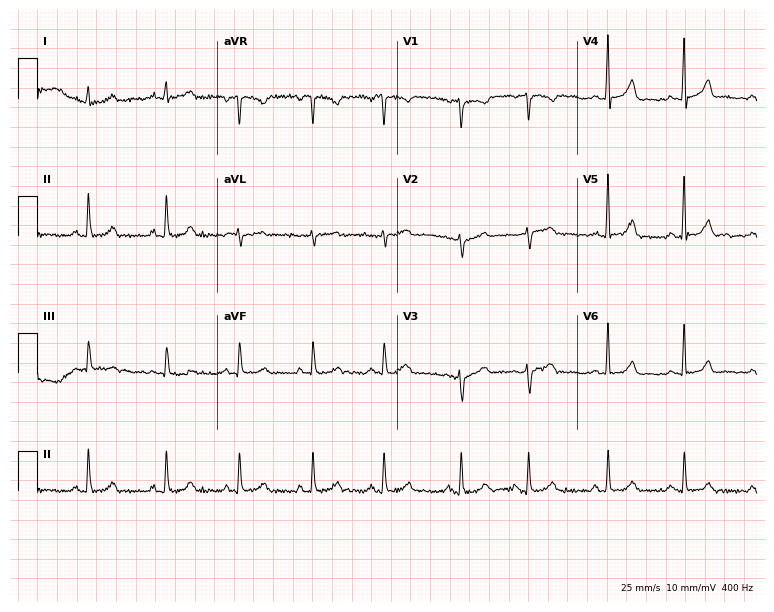
Standard 12-lead ECG recorded from a 37-year-old female patient (7.3-second recording at 400 Hz). Read as a normal ECG.